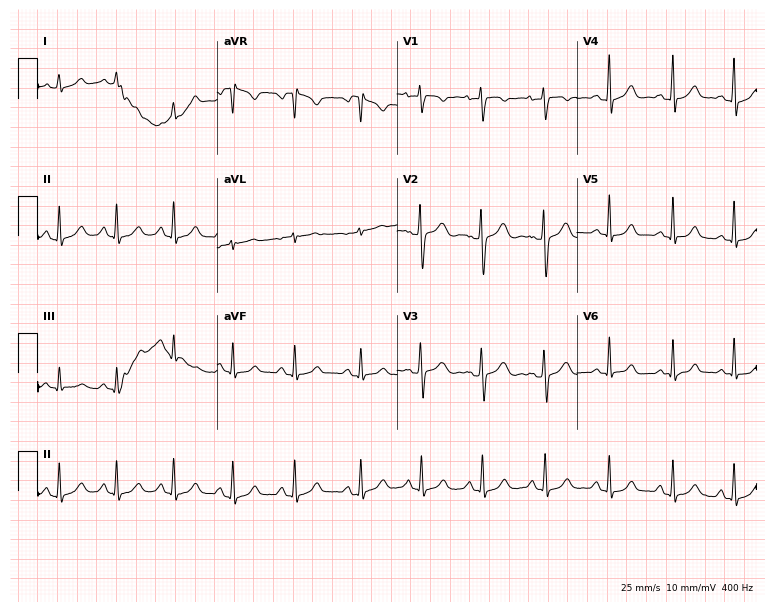
Electrocardiogram, a female, 25 years old. Of the six screened findings (first-degree AV block, right bundle branch block, left bundle branch block, sinus bradycardia, atrial fibrillation, sinus tachycardia), none is recorded.